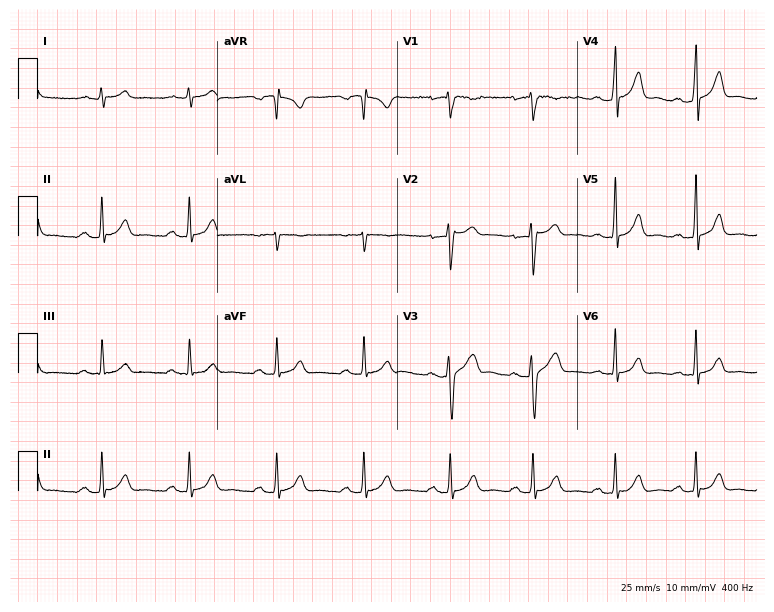
12-lead ECG from a female patient, 43 years old (7.3-second recording at 400 Hz). Recorded interpretation: within normal limits.